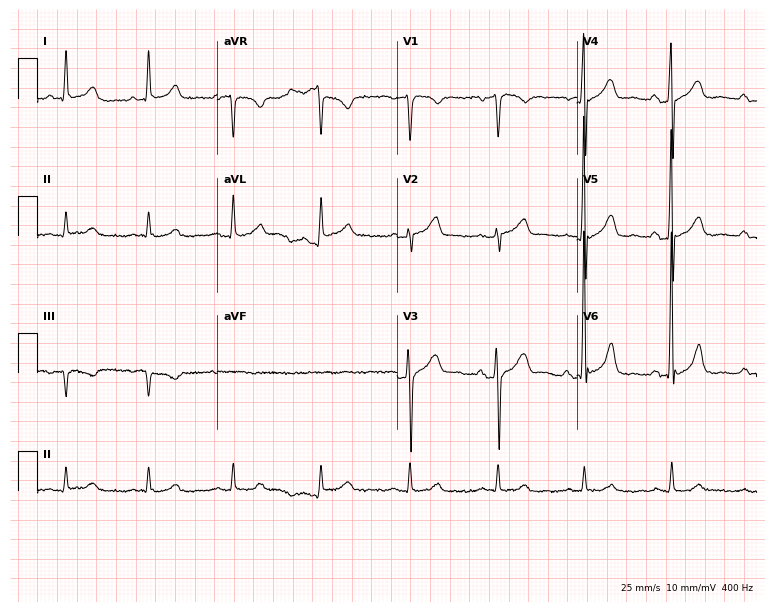
Electrocardiogram, a 63-year-old male. Overall reading on record: normal ECG.